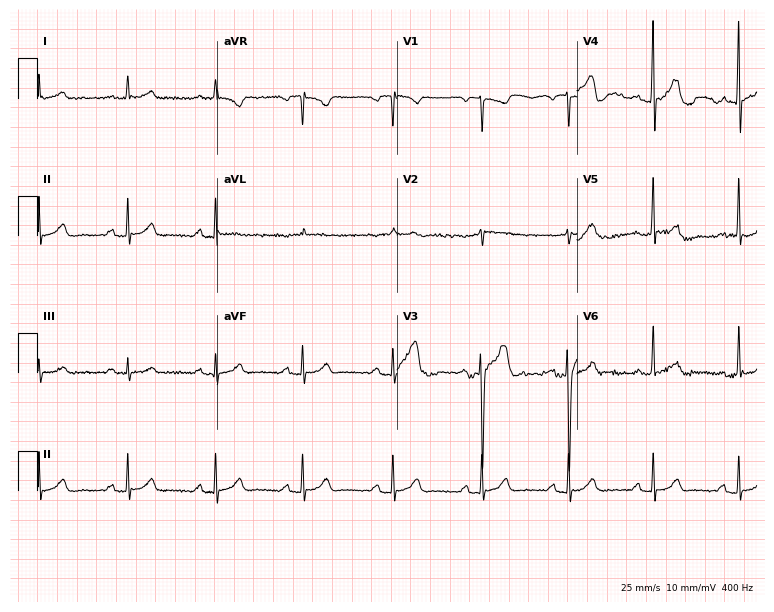
ECG — a male patient, 47 years old. Screened for six findings — first-degree AV block, right bundle branch block, left bundle branch block, sinus bradycardia, atrial fibrillation, sinus tachycardia — none is recorded. Only these six findings were labelled.